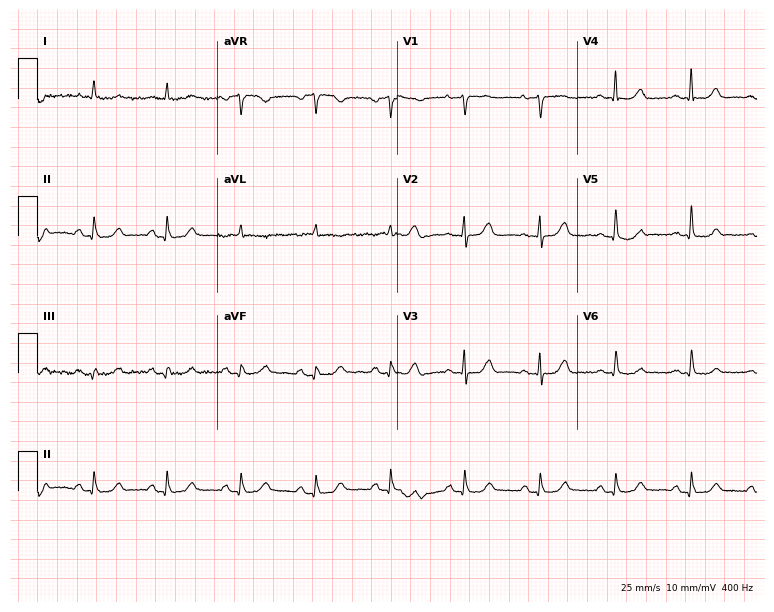
12-lead ECG from a woman, 70 years old (7.3-second recording at 400 Hz). Recorded interpretation: within normal limits.